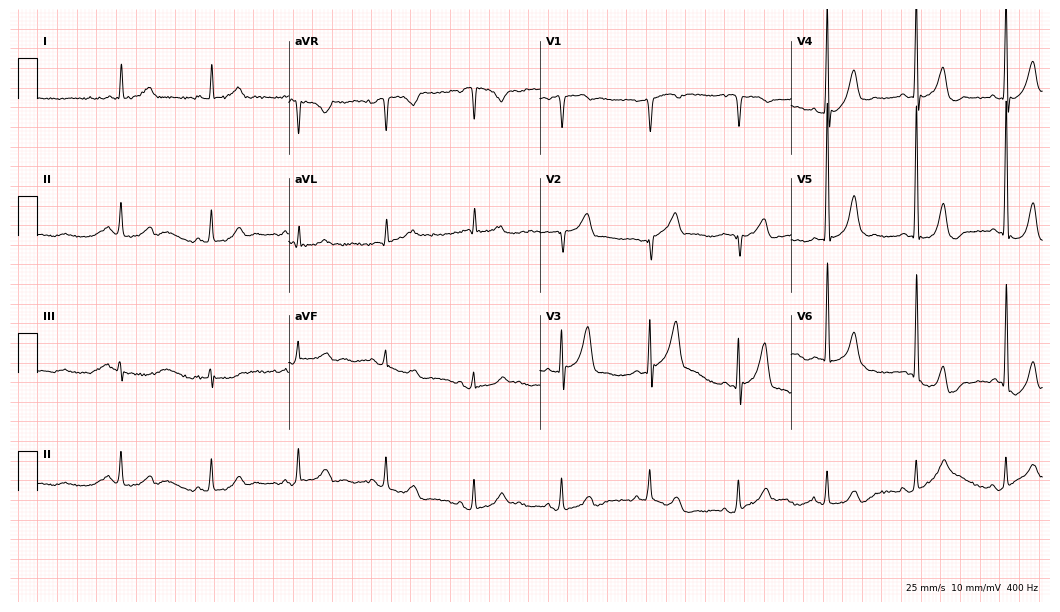
Electrocardiogram, a woman, 75 years old. Of the six screened findings (first-degree AV block, right bundle branch block, left bundle branch block, sinus bradycardia, atrial fibrillation, sinus tachycardia), none is recorded.